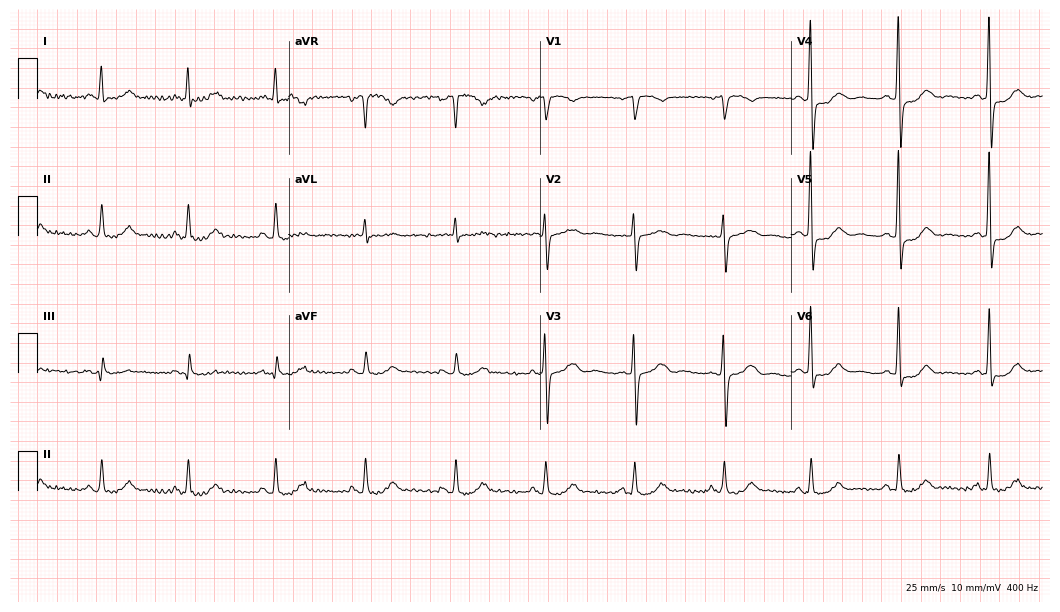
12-lead ECG from a female, 73 years old (10.2-second recording at 400 Hz). No first-degree AV block, right bundle branch block, left bundle branch block, sinus bradycardia, atrial fibrillation or sinus tachycardia recorded for this tracing.